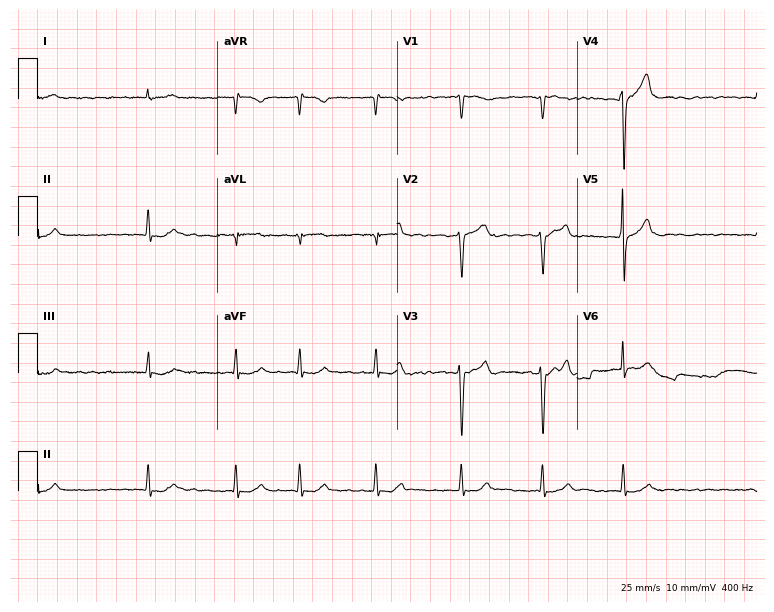
Resting 12-lead electrocardiogram. Patient: a man, 77 years old. The tracing shows atrial fibrillation (AF).